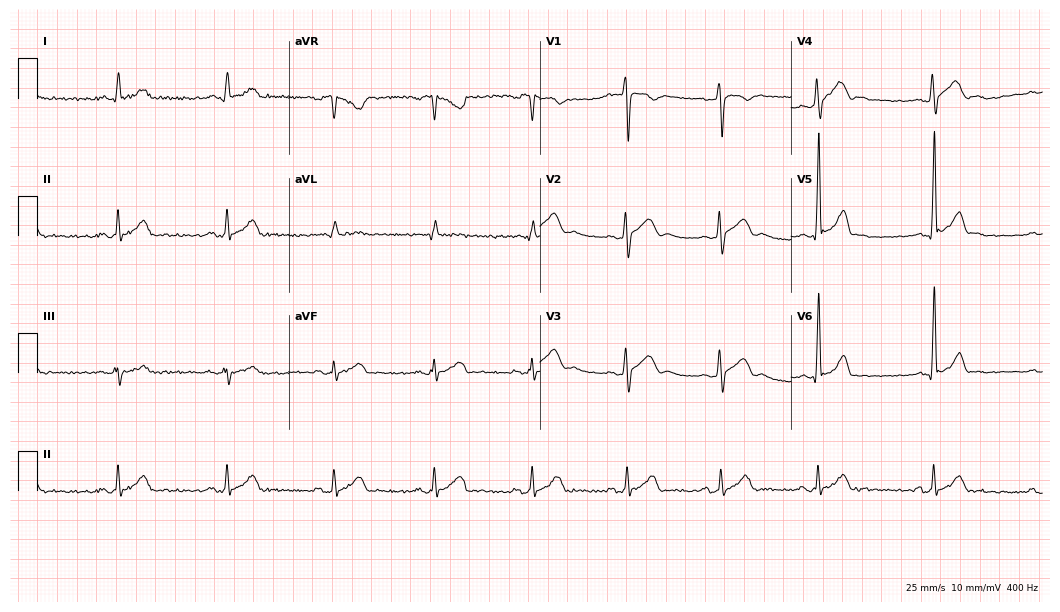
Resting 12-lead electrocardiogram (10.2-second recording at 400 Hz). Patient: a male, 24 years old. None of these six findings is recorded: first-degree AV block, right bundle branch block (RBBB), left bundle branch block (LBBB), sinus bradycardia, atrial fibrillation (AF), sinus tachycardia.